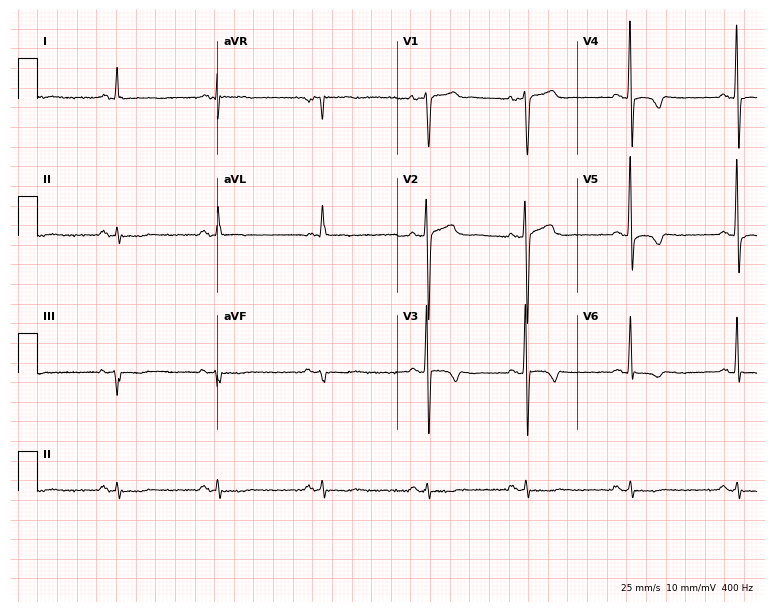
12-lead ECG from a 58-year-old male patient (7.3-second recording at 400 Hz). No first-degree AV block, right bundle branch block (RBBB), left bundle branch block (LBBB), sinus bradycardia, atrial fibrillation (AF) or sinus tachycardia recorded for this tracing. Findings outside these six are not listed.